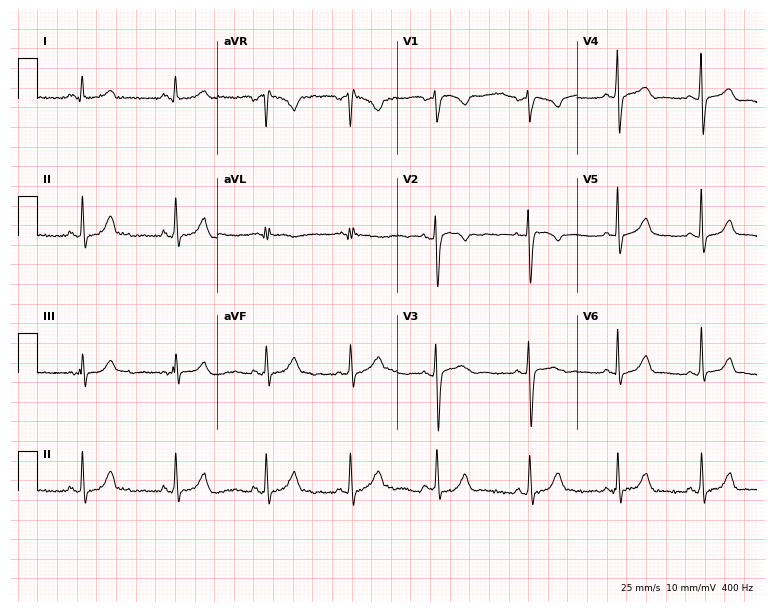
12-lead ECG from a 32-year-old female patient. Recorded interpretation: within normal limits.